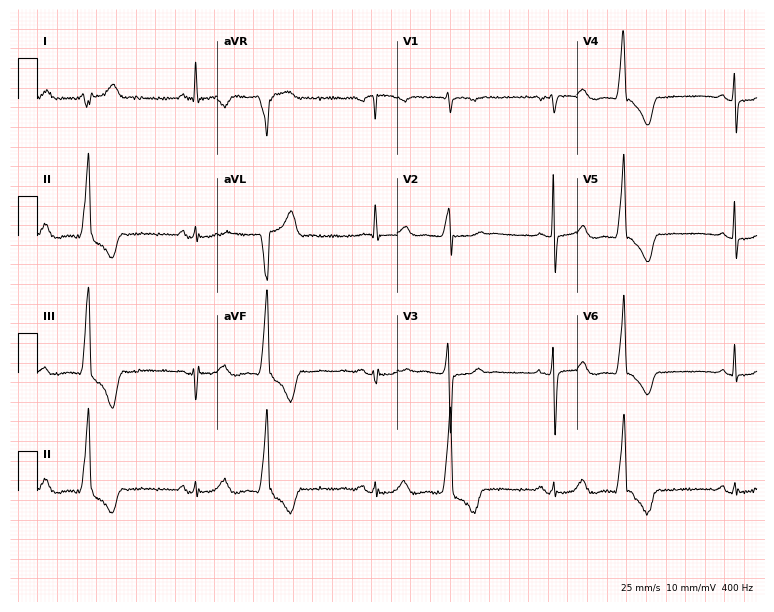
Standard 12-lead ECG recorded from a female, 63 years old. None of these six findings is recorded: first-degree AV block, right bundle branch block (RBBB), left bundle branch block (LBBB), sinus bradycardia, atrial fibrillation (AF), sinus tachycardia. Other findings, if any, are not listed.